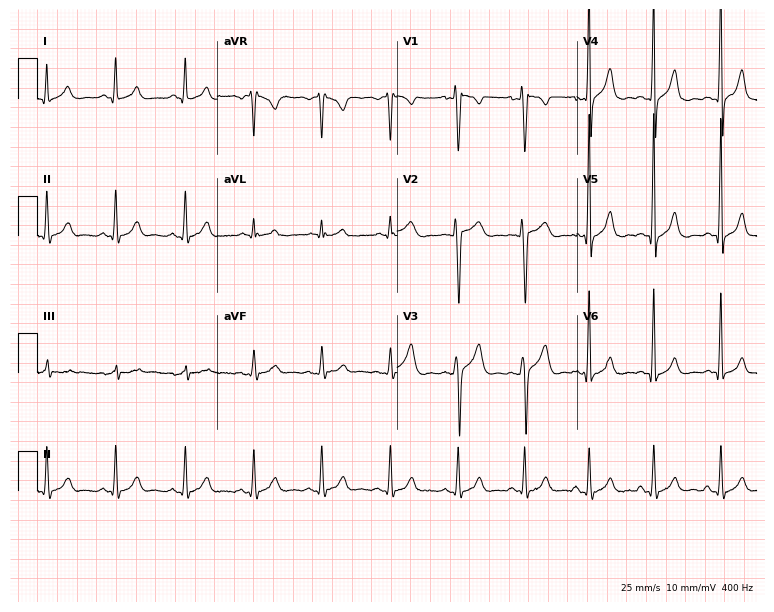
Standard 12-lead ECG recorded from a 44-year-old male (7.3-second recording at 400 Hz). None of these six findings is recorded: first-degree AV block, right bundle branch block, left bundle branch block, sinus bradycardia, atrial fibrillation, sinus tachycardia.